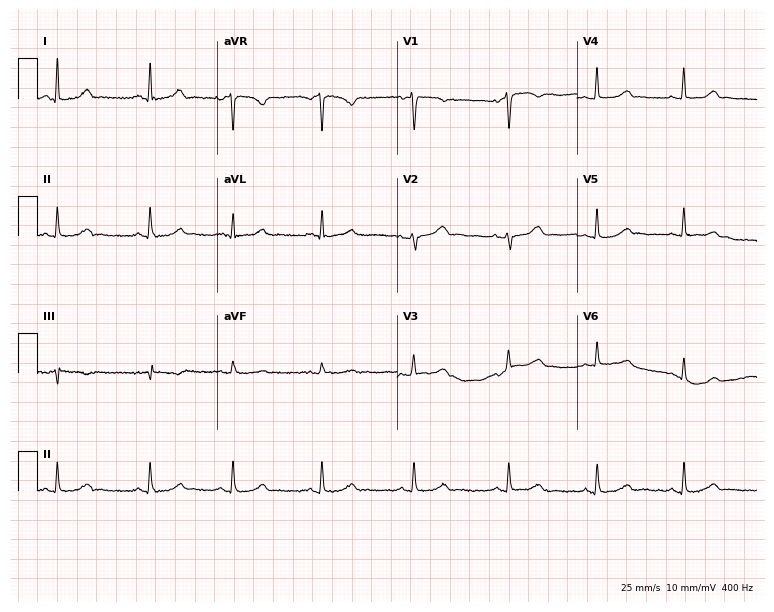
12-lead ECG from a female patient, 41 years old. Recorded interpretation: within normal limits.